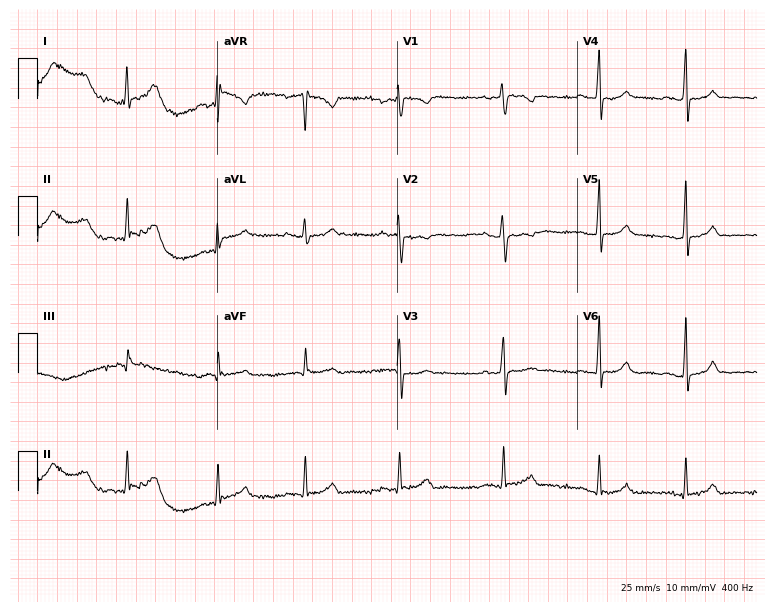
ECG — a female patient, 44 years old. Labelled as a normal ECG.